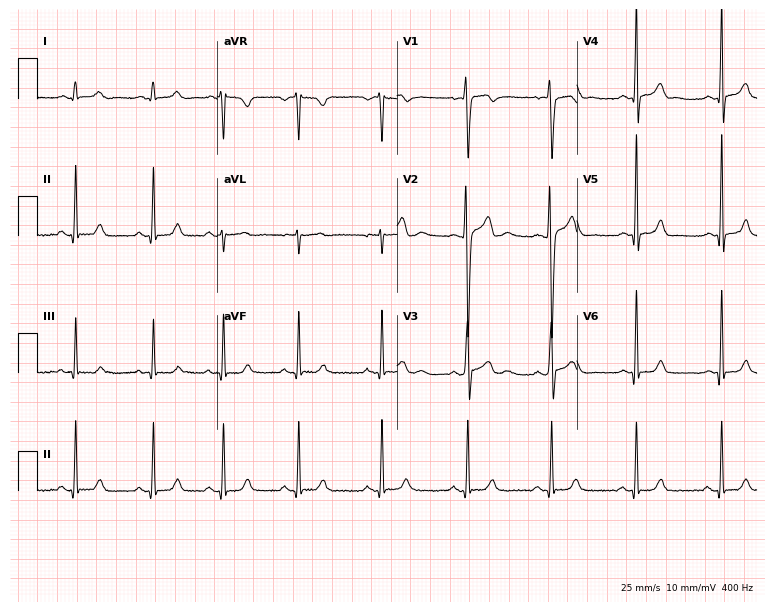
Electrocardiogram, a 22-year-old male patient. Overall reading on record: normal ECG.